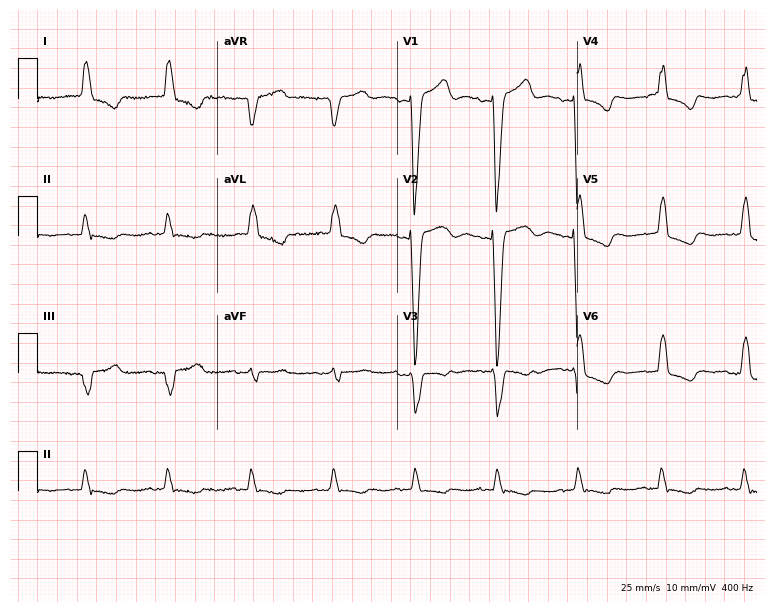
ECG — a female, 74 years old. Findings include left bundle branch block (LBBB).